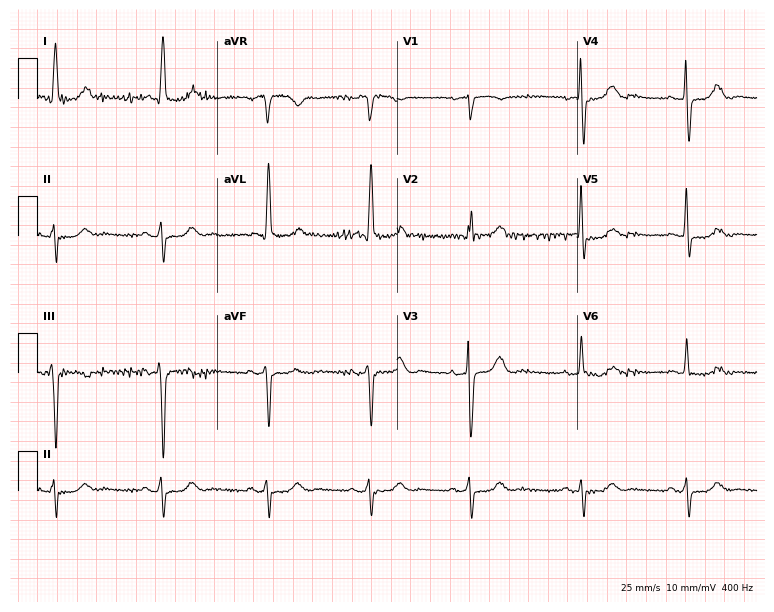
Electrocardiogram (7.3-second recording at 400 Hz), a 78-year-old female patient. Of the six screened findings (first-degree AV block, right bundle branch block (RBBB), left bundle branch block (LBBB), sinus bradycardia, atrial fibrillation (AF), sinus tachycardia), none is recorded.